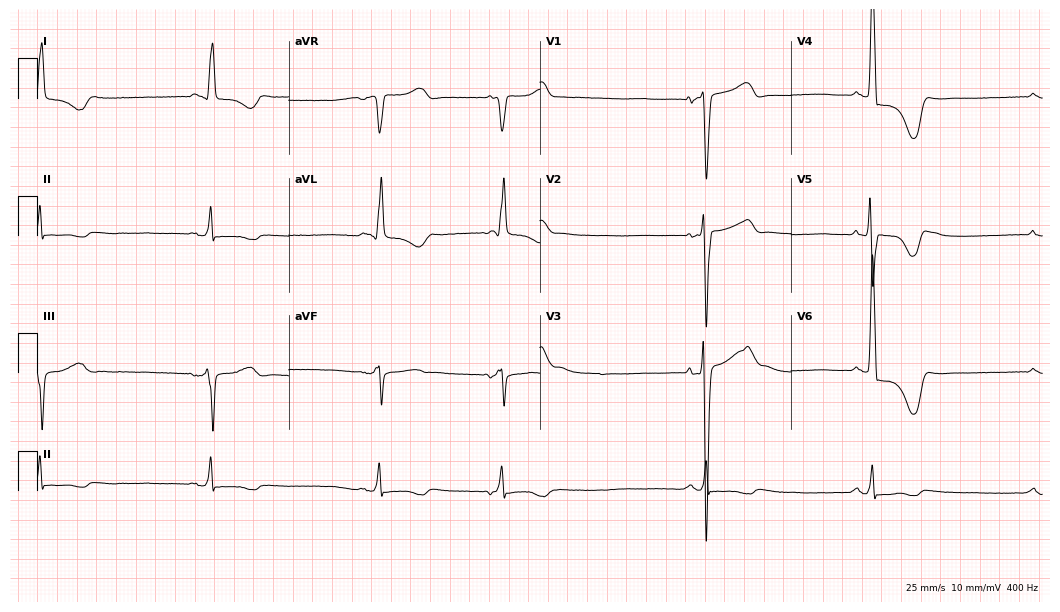
12-lead ECG from a 58-year-old female patient. Findings include sinus bradycardia (a sinus rate of 50 beats per minute or less).